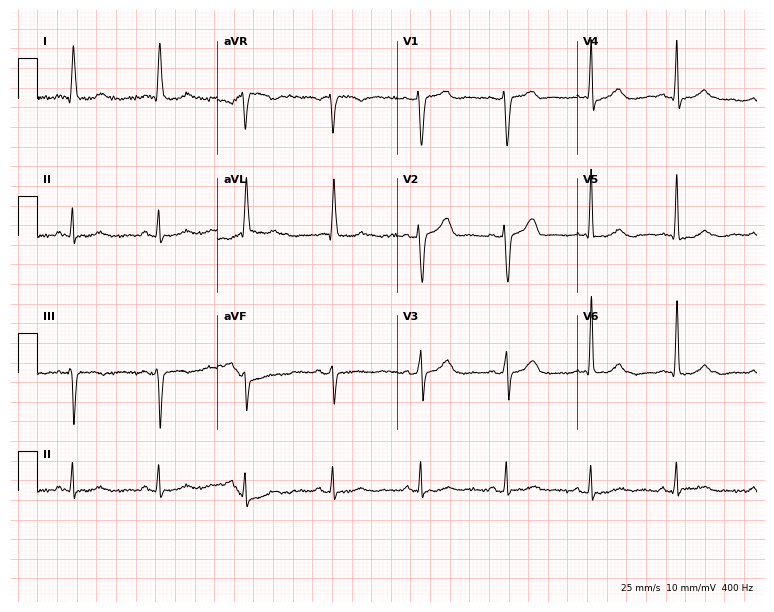
12-lead ECG (7.3-second recording at 400 Hz) from a male patient, 83 years old. Labelled as a normal ECG.